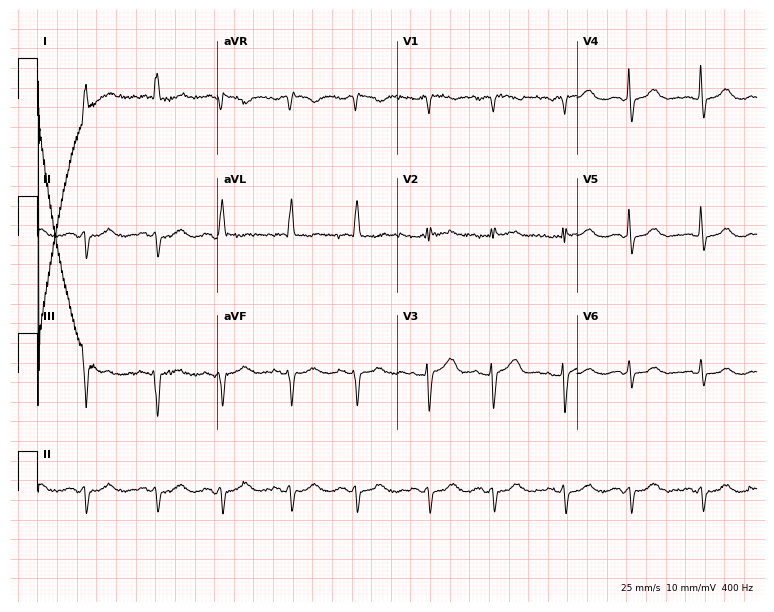
Standard 12-lead ECG recorded from a female patient, 82 years old (7.3-second recording at 400 Hz). None of these six findings is recorded: first-degree AV block, right bundle branch block (RBBB), left bundle branch block (LBBB), sinus bradycardia, atrial fibrillation (AF), sinus tachycardia.